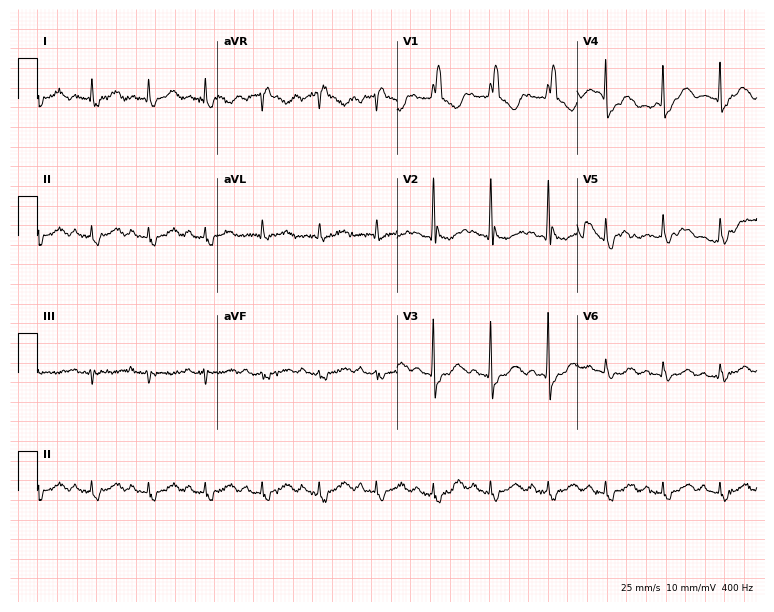
Electrocardiogram (7.3-second recording at 400 Hz), a 77-year-old female patient. Interpretation includes right bundle branch block, sinus tachycardia (a sinus rate of 100 beats per minute or more).